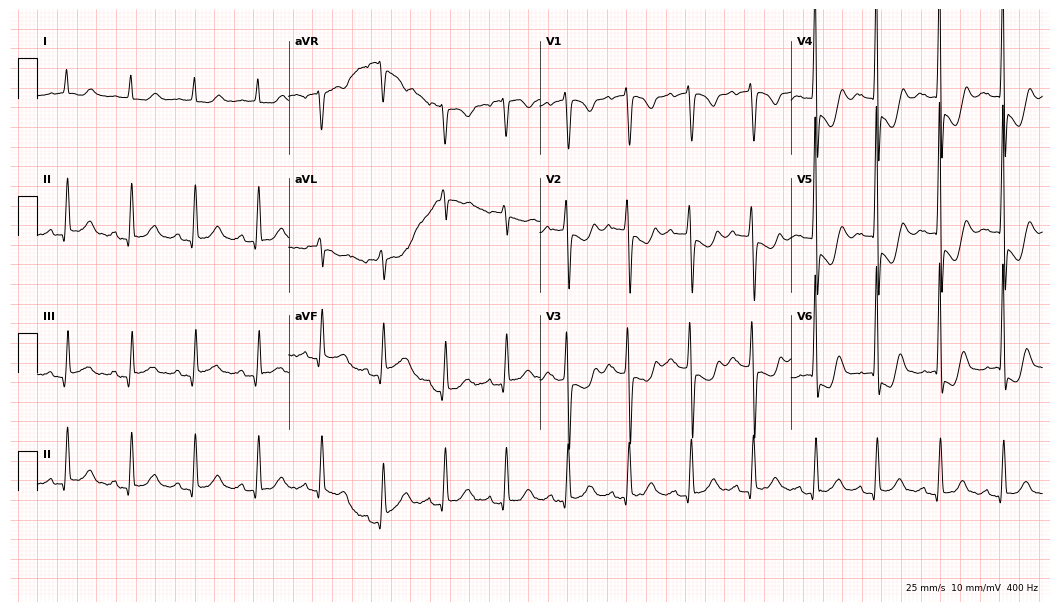
Standard 12-lead ECG recorded from a 53-year-old man. None of these six findings is recorded: first-degree AV block, right bundle branch block, left bundle branch block, sinus bradycardia, atrial fibrillation, sinus tachycardia. Other findings, if any, are not listed.